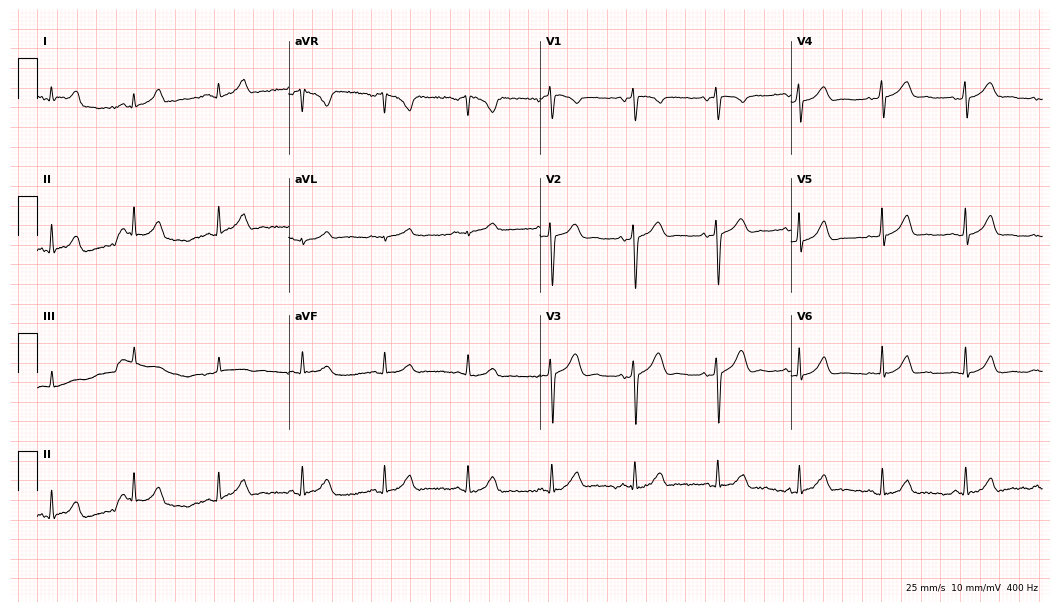
Resting 12-lead electrocardiogram (10.2-second recording at 400 Hz). Patient: a 42-year-old female. Read as a normal ECG.